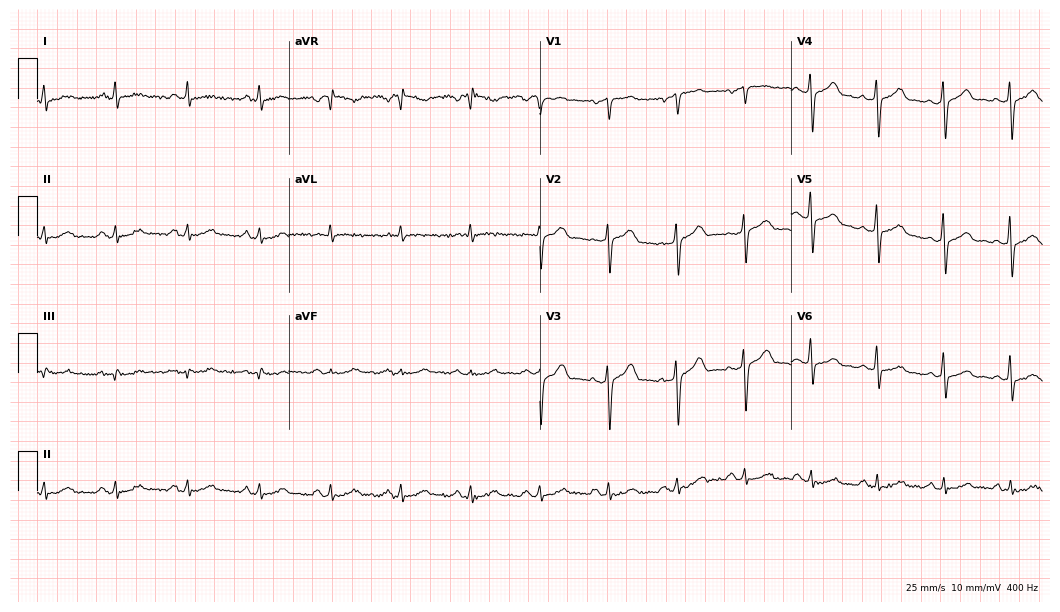
Electrocardiogram, a male patient, 49 years old. Overall reading on record: normal ECG.